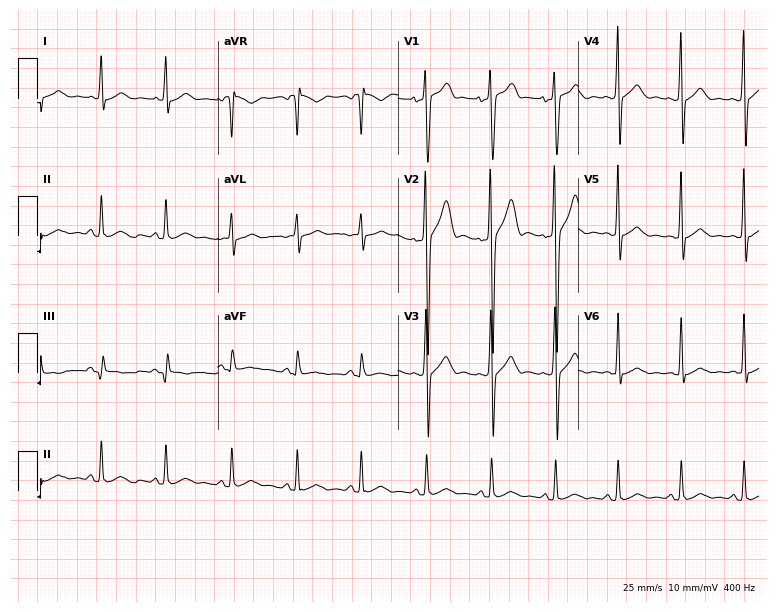
Resting 12-lead electrocardiogram. Patient: a 38-year-old man. Read as a normal ECG.